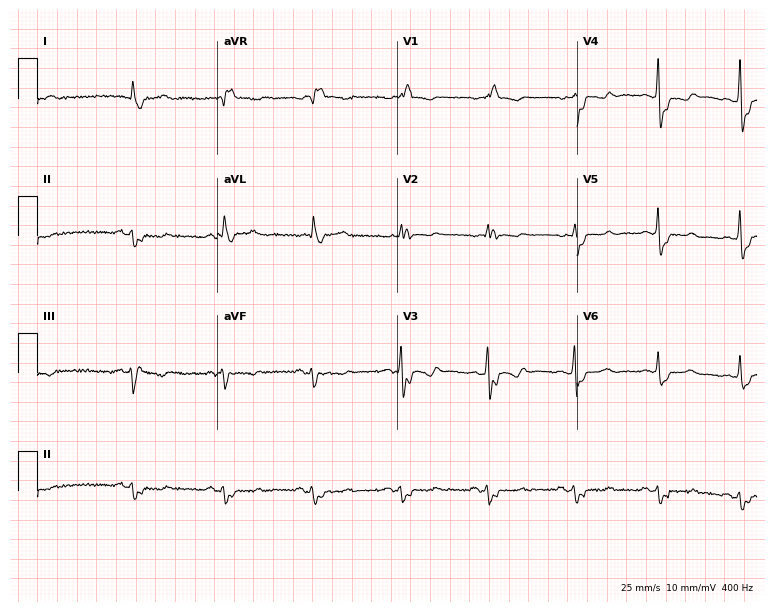
12-lead ECG (7.3-second recording at 400 Hz) from a 79-year-old female patient. Screened for six findings — first-degree AV block, right bundle branch block, left bundle branch block, sinus bradycardia, atrial fibrillation, sinus tachycardia — none is recorded. Findings outside these six are not listed.